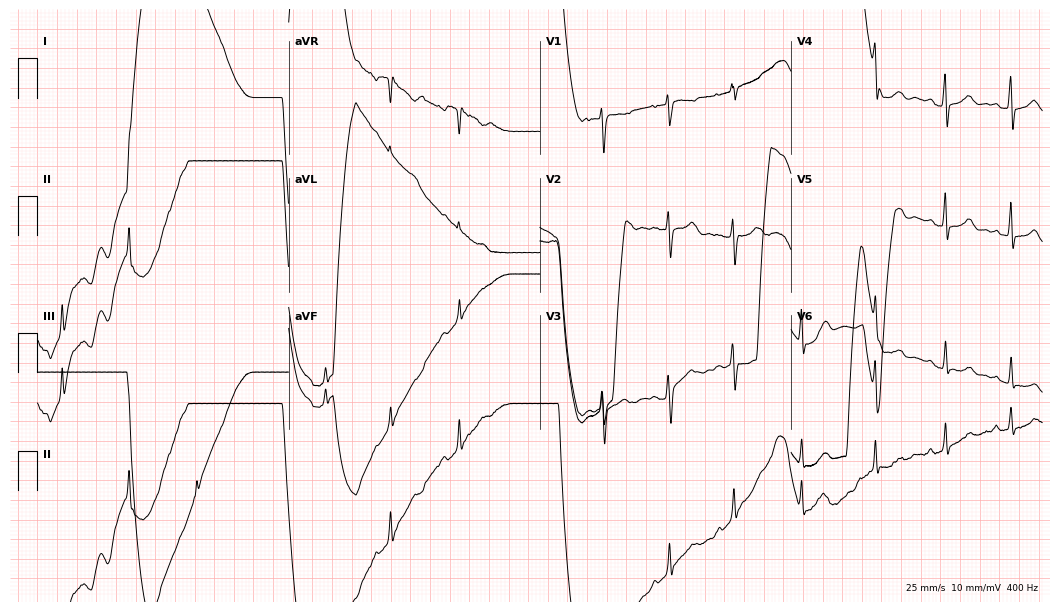
12-lead ECG from a 19-year-old female. Screened for six findings — first-degree AV block, right bundle branch block, left bundle branch block, sinus bradycardia, atrial fibrillation, sinus tachycardia — none is recorded.